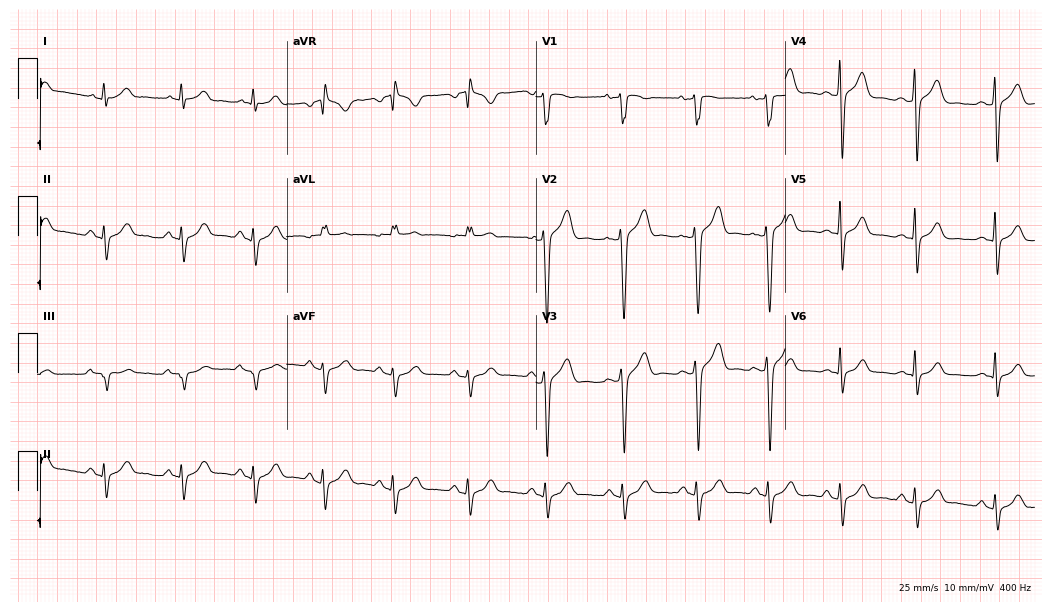
Electrocardiogram, a male, 29 years old. Of the six screened findings (first-degree AV block, right bundle branch block, left bundle branch block, sinus bradycardia, atrial fibrillation, sinus tachycardia), none is recorded. Findings outside these six are not listed.